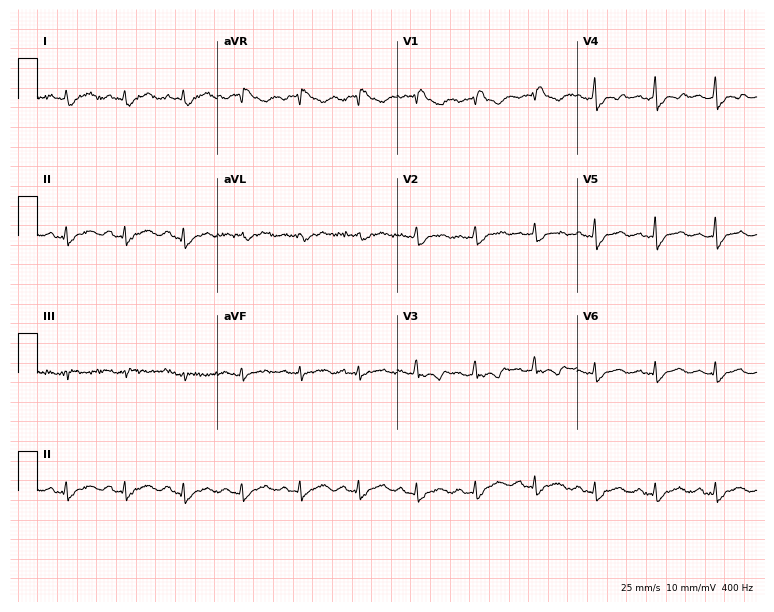
12-lead ECG (7.3-second recording at 400 Hz) from a male patient, 56 years old. Screened for six findings — first-degree AV block, right bundle branch block, left bundle branch block, sinus bradycardia, atrial fibrillation, sinus tachycardia — none is recorded. Other findings, if any, are not listed.